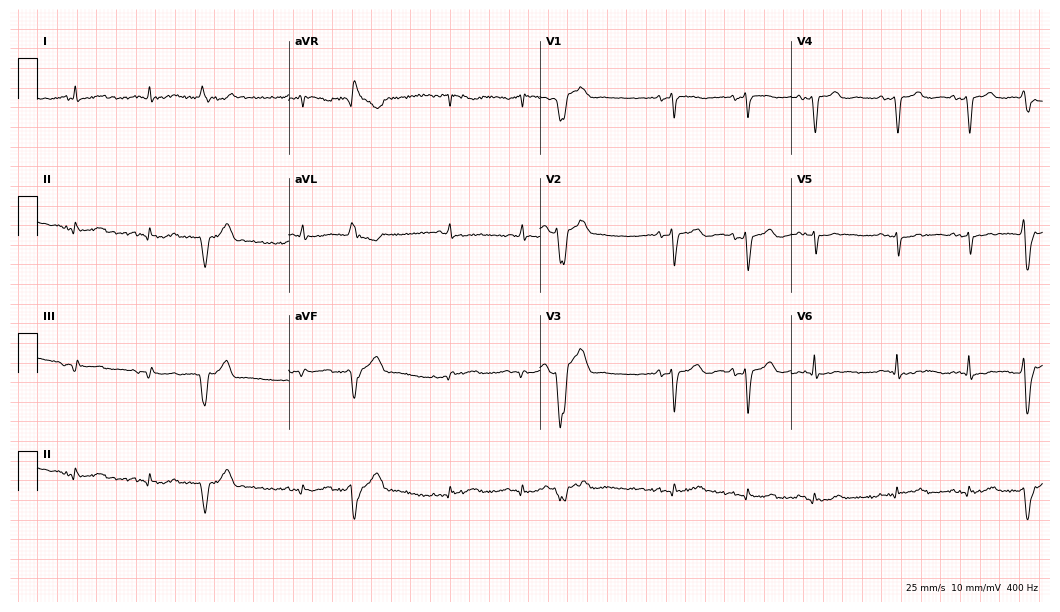
ECG — a male, 83 years old. Screened for six findings — first-degree AV block, right bundle branch block (RBBB), left bundle branch block (LBBB), sinus bradycardia, atrial fibrillation (AF), sinus tachycardia — none is recorded.